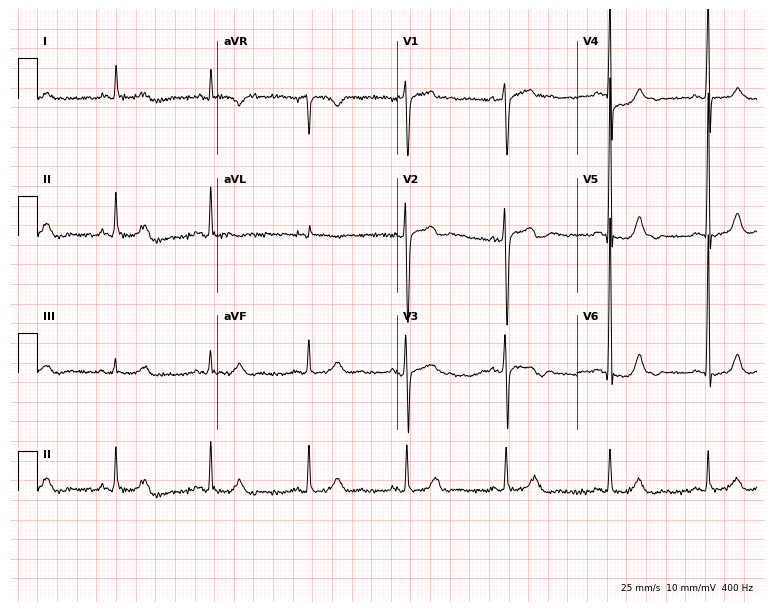
Resting 12-lead electrocardiogram (7.3-second recording at 400 Hz). Patient: a male, 62 years old. Read as a normal ECG.